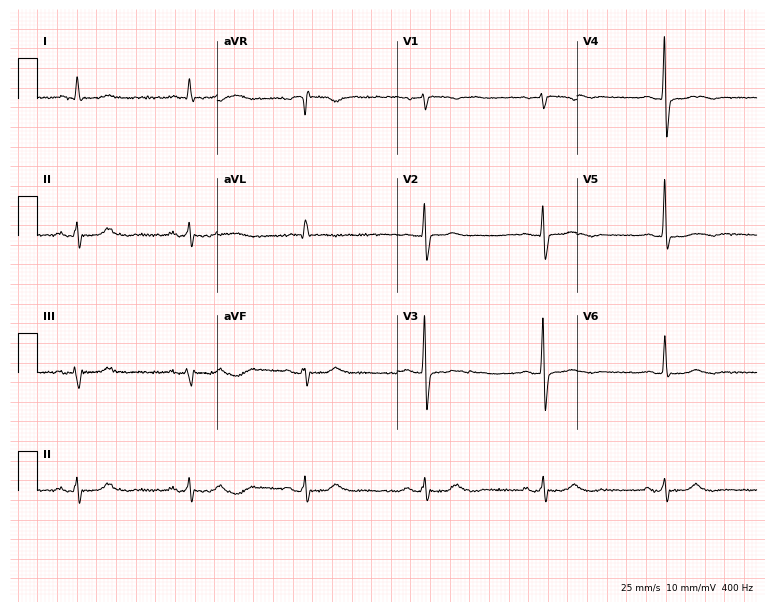
ECG (7.3-second recording at 400 Hz) — a male patient, 71 years old. Findings include sinus bradycardia (a sinus rate of 50 beats per minute or less).